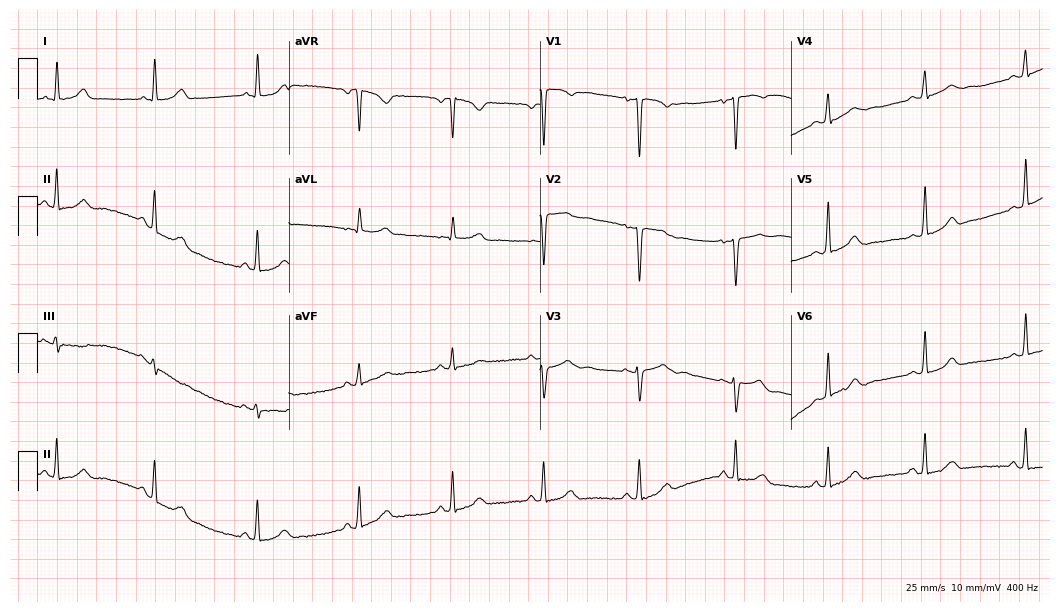
ECG — a woman, 27 years old. Labelled as a normal ECG.